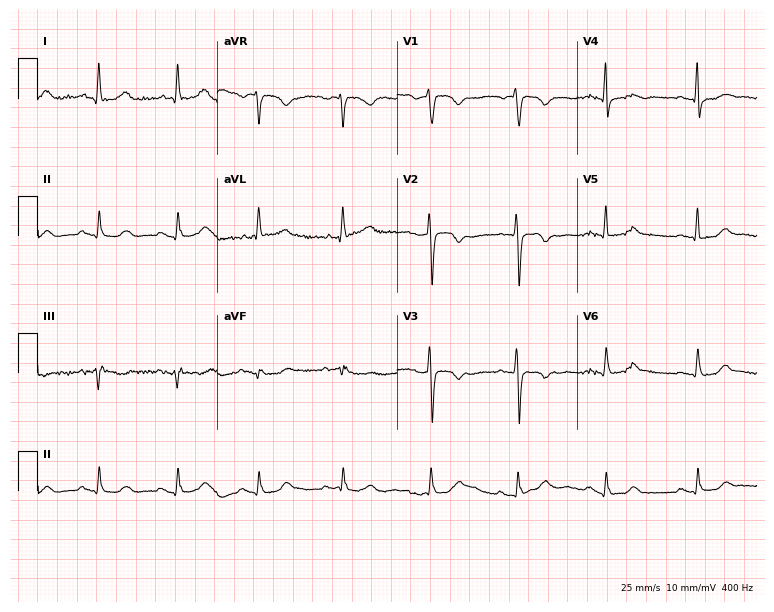
12-lead ECG from a 69-year-old female patient (7.3-second recording at 400 Hz). No first-degree AV block, right bundle branch block (RBBB), left bundle branch block (LBBB), sinus bradycardia, atrial fibrillation (AF) or sinus tachycardia recorded for this tracing. Other findings, if any, are not listed.